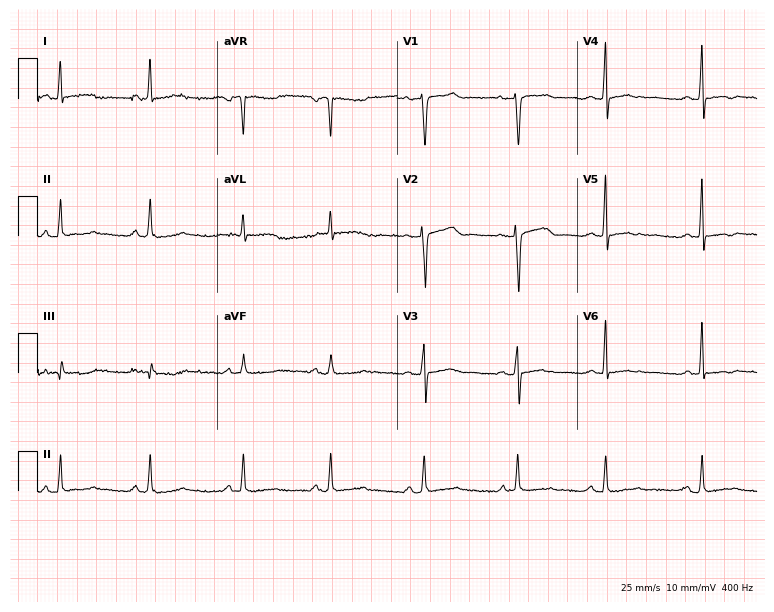
Standard 12-lead ECG recorded from a 43-year-old female (7.3-second recording at 400 Hz). None of these six findings is recorded: first-degree AV block, right bundle branch block, left bundle branch block, sinus bradycardia, atrial fibrillation, sinus tachycardia. Other findings, if any, are not listed.